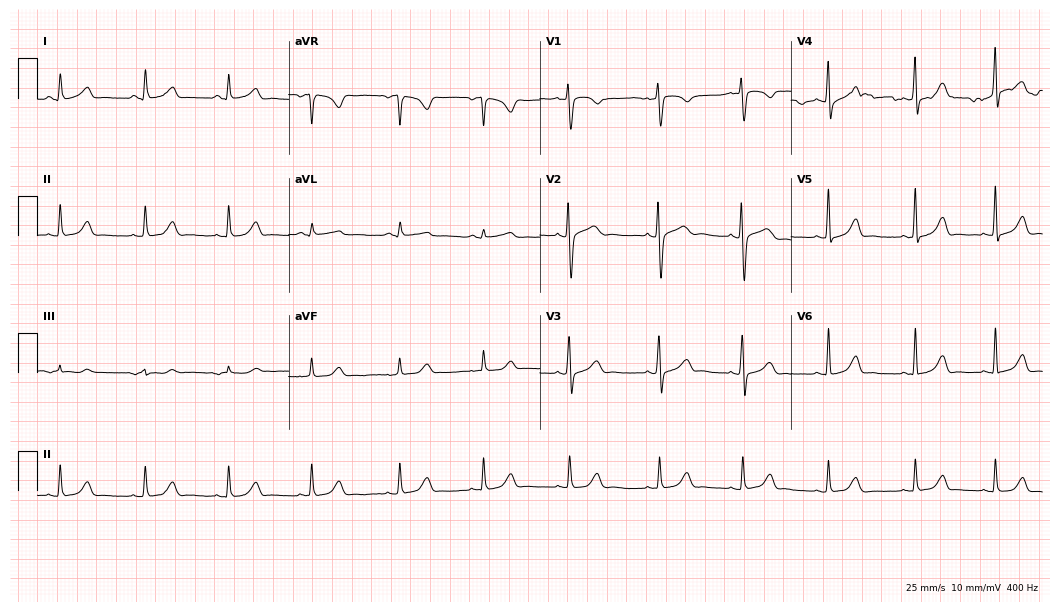
Resting 12-lead electrocardiogram. Patient: a 27-year-old female. Read as a normal ECG.